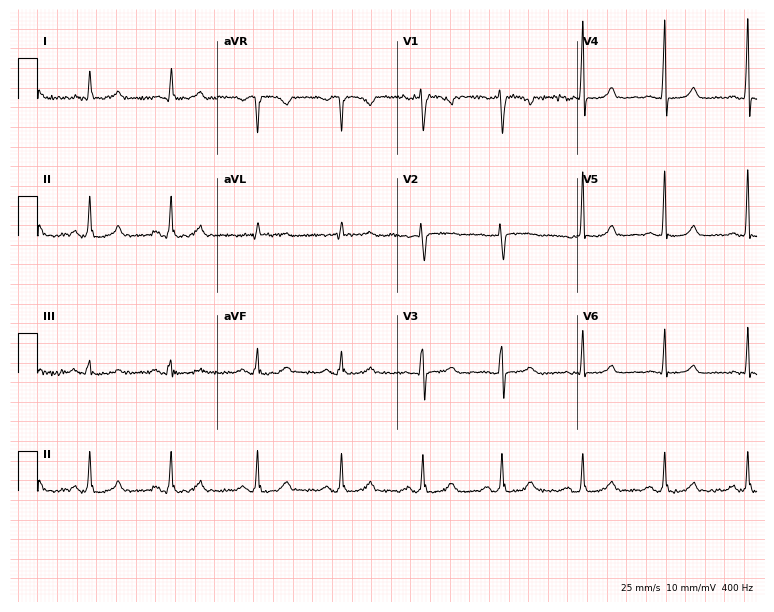
Standard 12-lead ECG recorded from a female patient, 56 years old. None of these six findings is recorded: first-degree AV block, right bundle branch block (RBBB), left bundle branch block (LBBB), sinus bradycardia, atrial fibrillation (AF), sinus tachycardia.